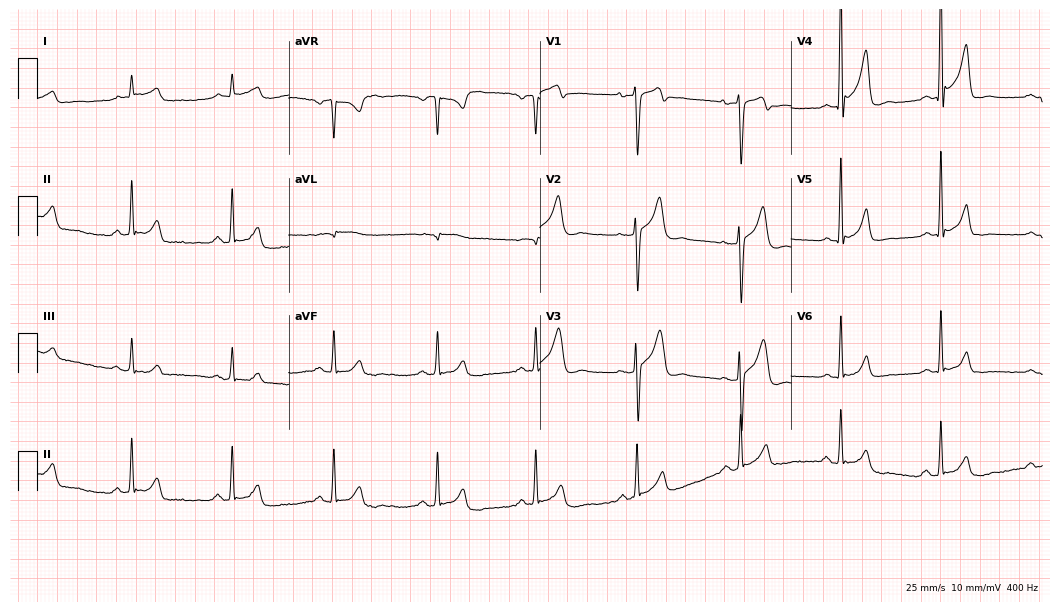
Electrocardiogram (10.2-second recording at 400 Hz), a man, 50 years old. Of the six screened findings (first-degree AV block, right bundle branch block (RBBB), left bundle branch block (LBBB), sinus bradycardia, atrial fibrillation (AF), sinus tachycardia), none is recorded.